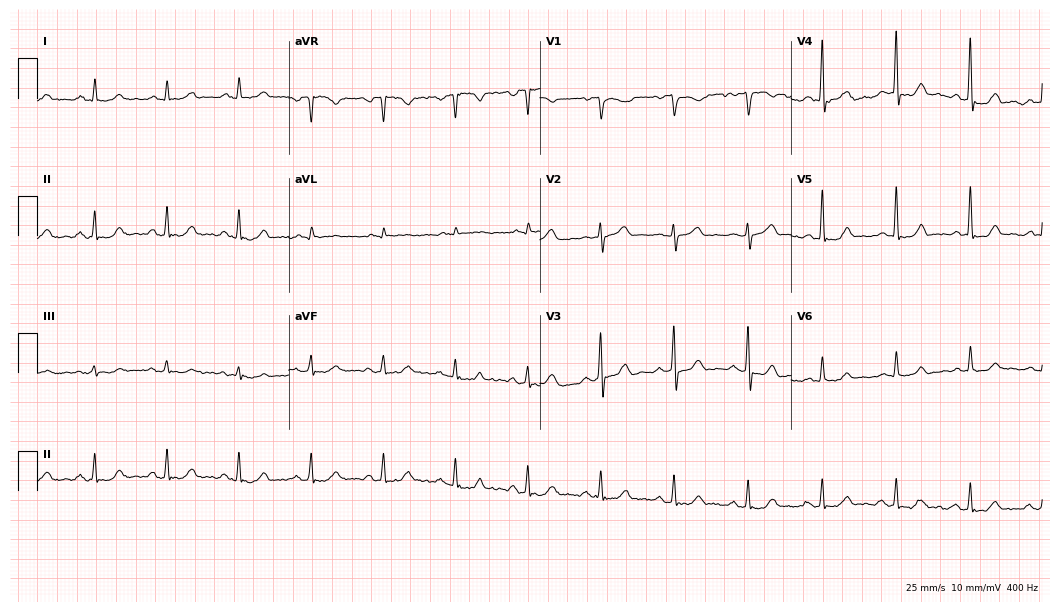
Resting 12-lead electrocardiogram (10.2-second recording at 400 Hz). Patient: a 57-year-old female. None of these six findings is recorded: first-degree AV block, right bundle branch block, left bundle branch block, sinus bradycardia, atrial fibrillation, sinus tachycardia. Other findings, if any, are not listed.